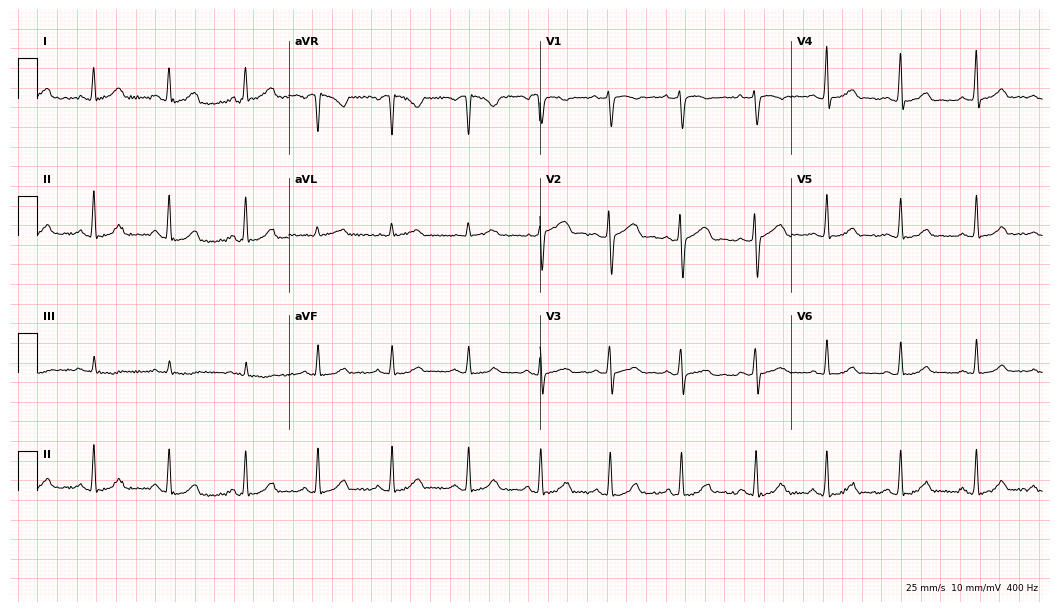
12-lead ECG from a woman, 40 years old. Recorded interpretation: within normal limits.